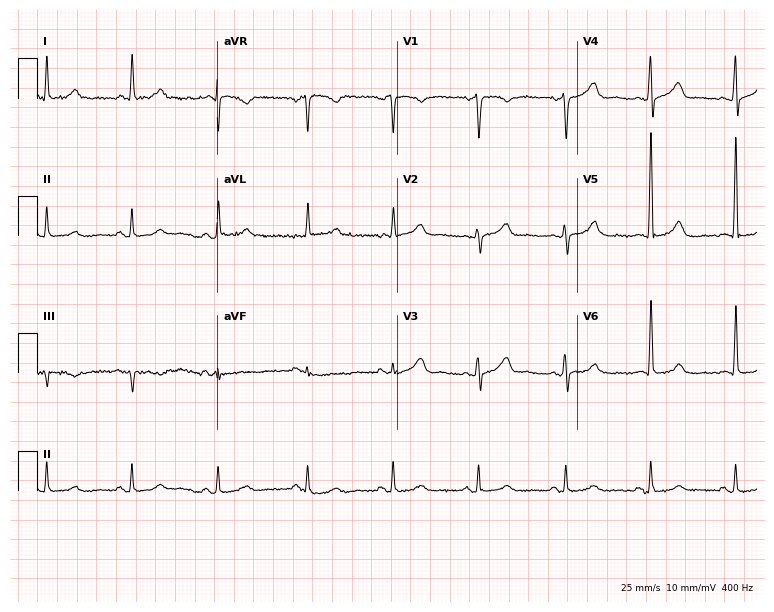
ECG — a man, 74 years old. Labelled as a normal ECG.